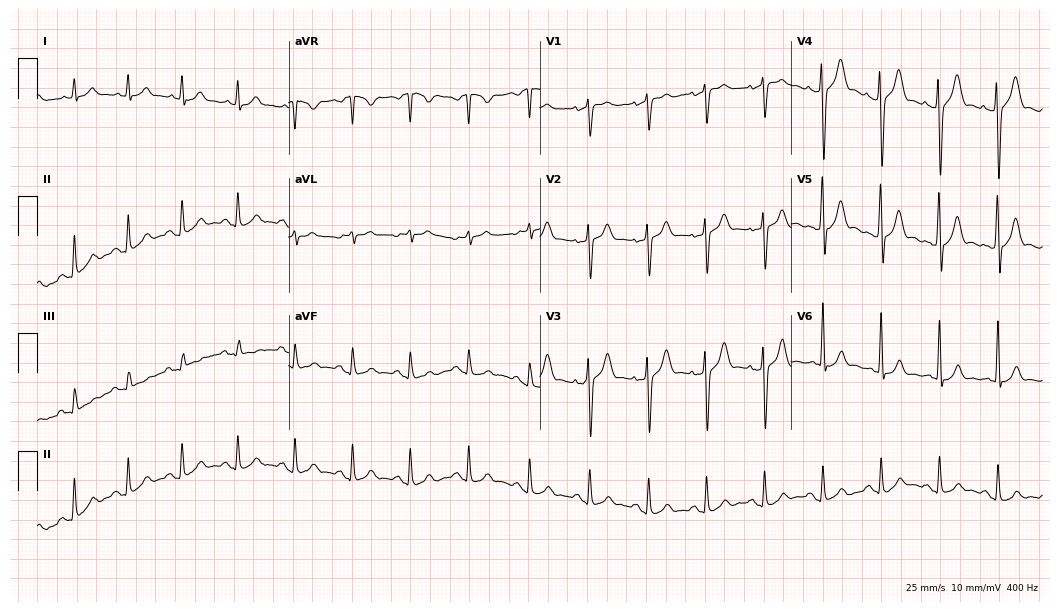
ECG (10.2-second recording at 400 Hz) — a male, 51 years old. Labelled as a normal ECG.